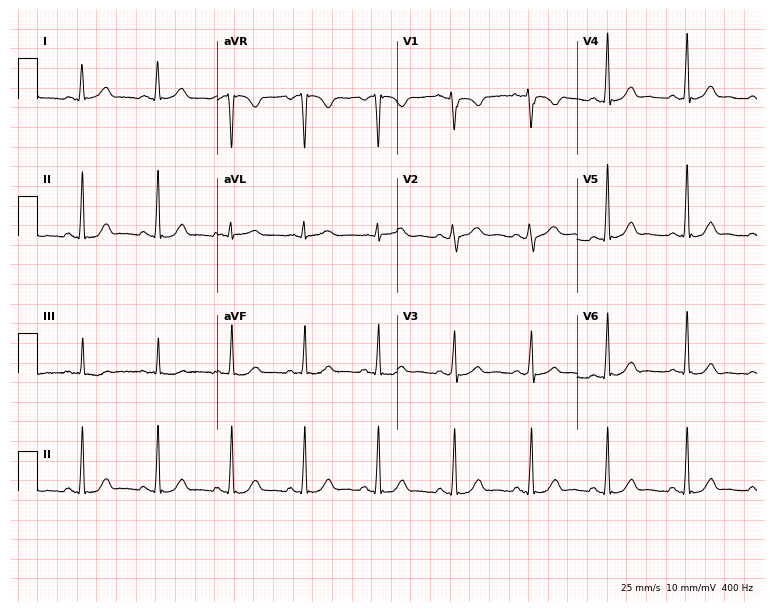
Resting 12-lead electrocardiogram. Patient: a 46-year-old female. Read as a normal ECG.